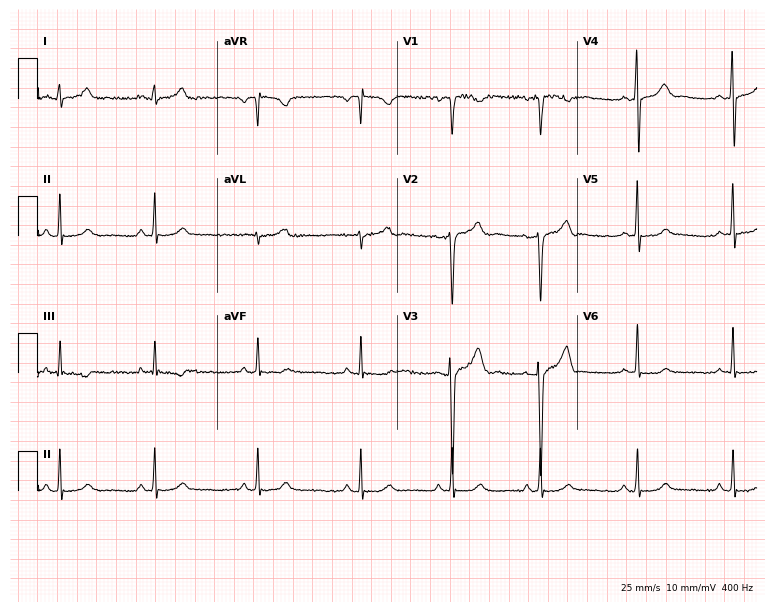
Standard 12-lead ECG recorded from a 26-year-old male patient (7.3-second recording at 400 Hz). Read as a normal ECG.